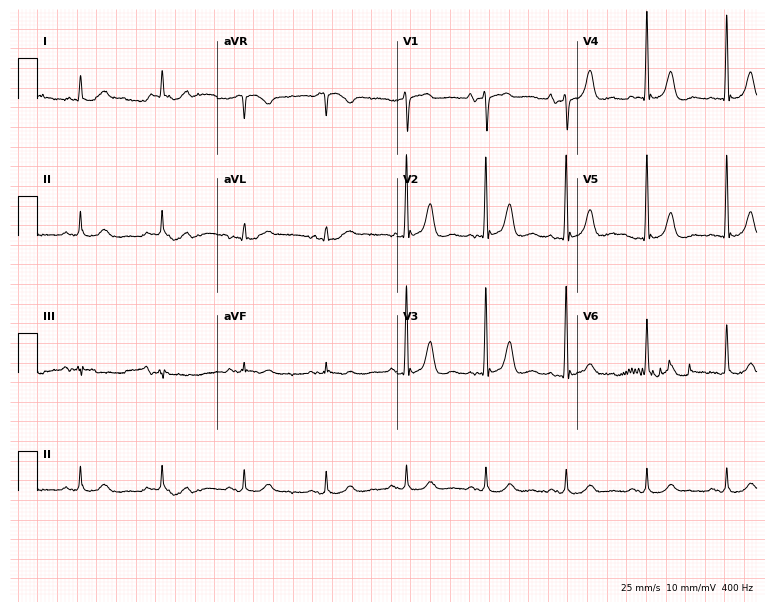
ECG (7.3-second recording at 400 Hz) — a 74-year-old woman. Labelled as a normal ECG.